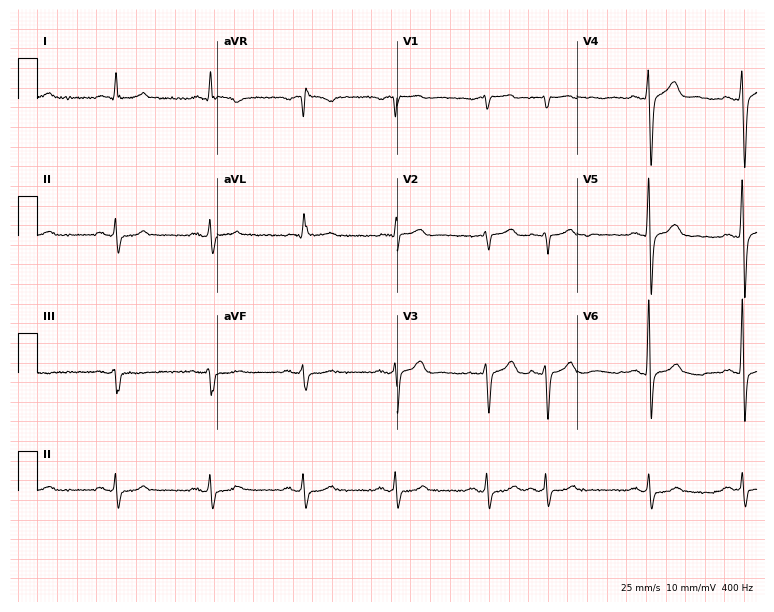
12-lead ECG from a man, 69 years old (7.3-second recording at 400 Hz). No first-degree AV block, right bundle branch block (RBBB), left bundle branch block (LBBB), sinus bradycardia, atrial fibrillation (AF) or sinus tachycardia recorded for this tracing. Other findings, if any, are not listed.